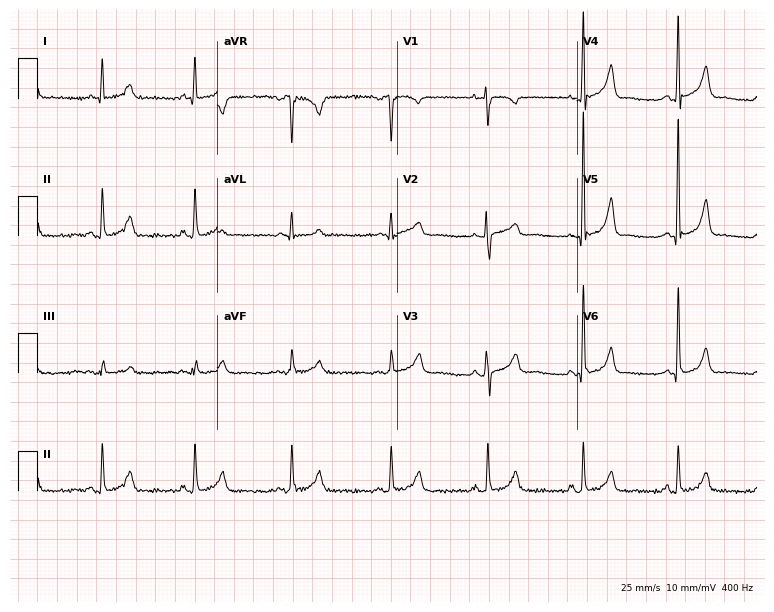
Resting 12-lead electrocardiogram. Patient: a woman, 45 years old. None of these six findings is recorded: first-degree AV block, right bundle branch block, left bundle branch block, sinus bradycardia, atrial fibrillation, sinus tachycardia. Findings outside these six are not listed.